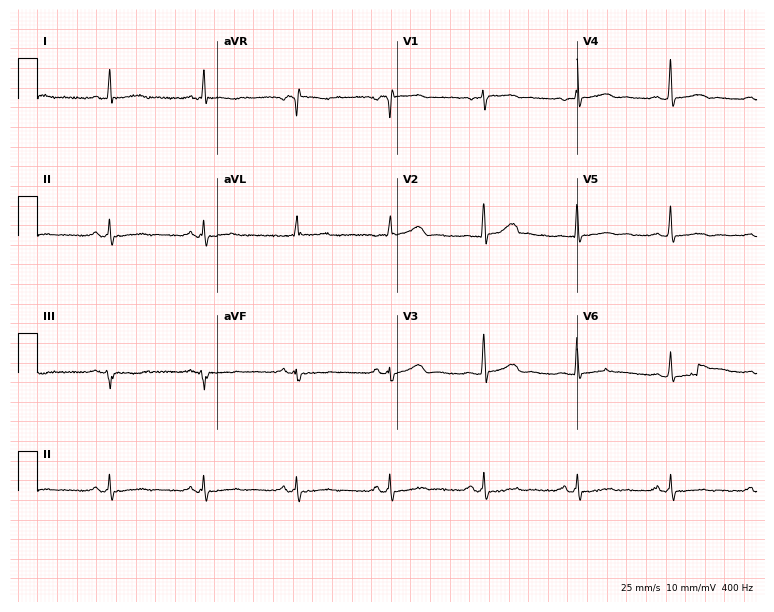
12-lead ECG from a 49-year-old female patient. No first-degree AV block, right bundle branch block, left bundle branch block, sinus bradycardia, atrial fibrillation or sinus tachycardia recorded for this tracing. Other findings, if any, are not listed.